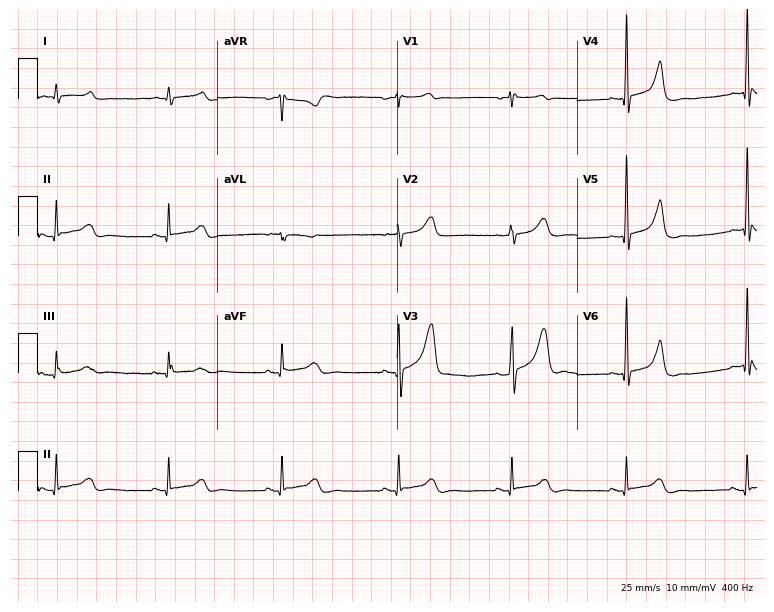
12-lead ECG from a man, 63 years old. No first-degree AV block, right bundle branch block, left bundle branch block, sinus bradycardia, atrial fibrillation or sinus tachycardia recorded for this tracing. Findings outside these six are not listed.